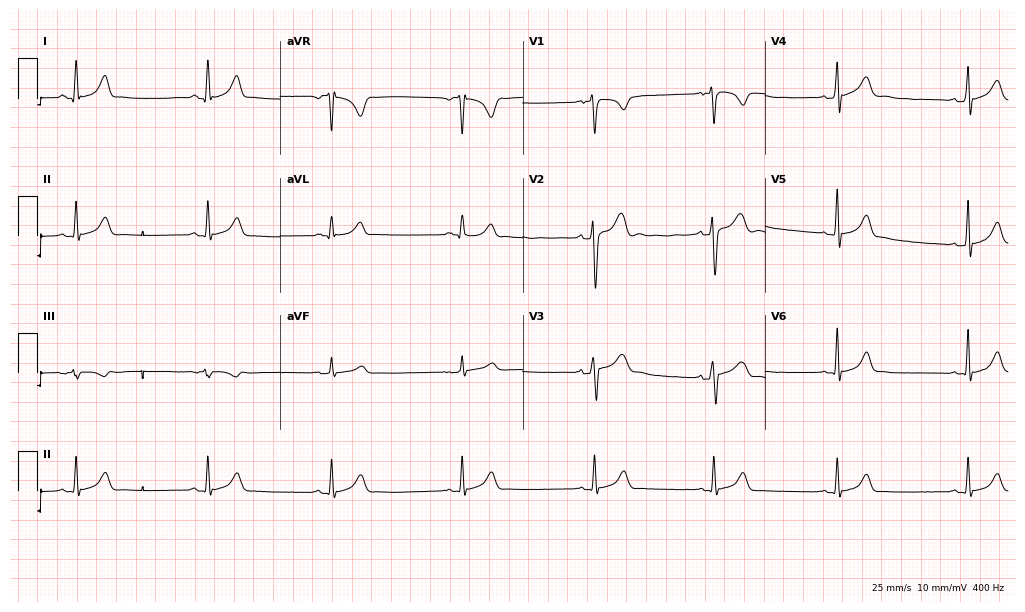
Electrocardiogram, a 17-year-old male patient. Of the six screened findings (first-degree AV block, right bundle branch block, left bundle branch block, sinus bradycardia, atrial fibrillation, sinus tachycardia), none is recorded. Only these six findings were labelled.